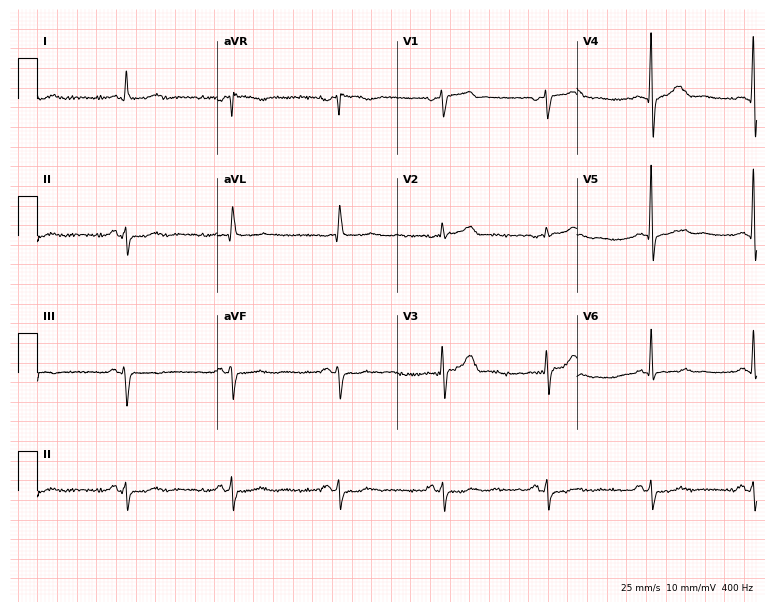
ECG — a woman, 59 years old. Screened for six findings — first-degree AV block, right bundle branch block, left bundle branch block, sinus bradycardia, atrial fibrillation, sinus tachycardia — none is recorded. Findings outside these six are not listed.